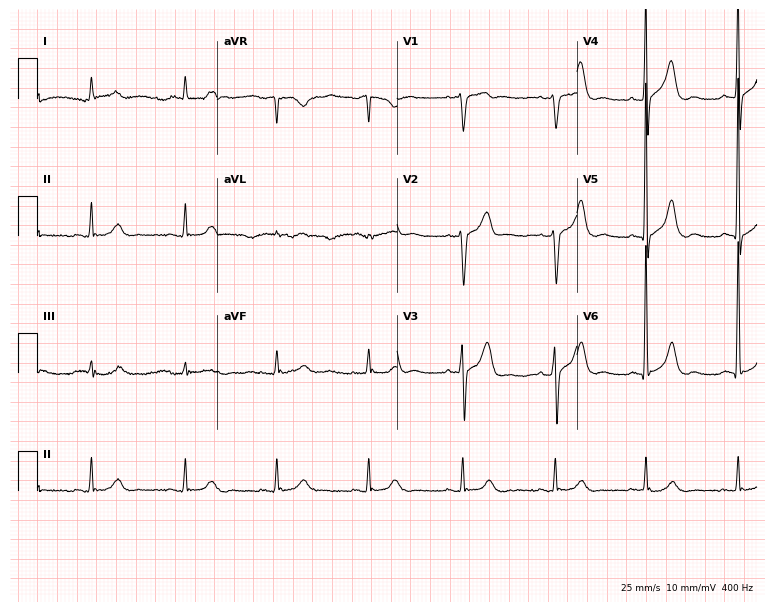
Electrocardiogram (7.3-second recording at 400 Hz), a 59-year-old man. Overall reading on record: normal ECG.